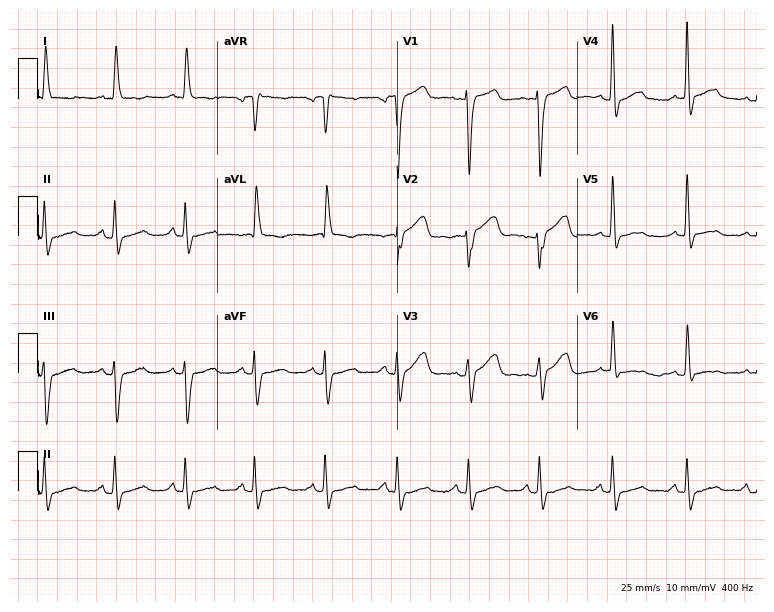
12-lead ECG from a female, 74 years old (7.3-second recording at 400 Hz). No first-degree AV block, right bundle branch block (RBBB), left bundle branch block (LBBB), sinus bradycardia, atrial fibrillation (AF) or sinus tachycardia recorded for this tracing.